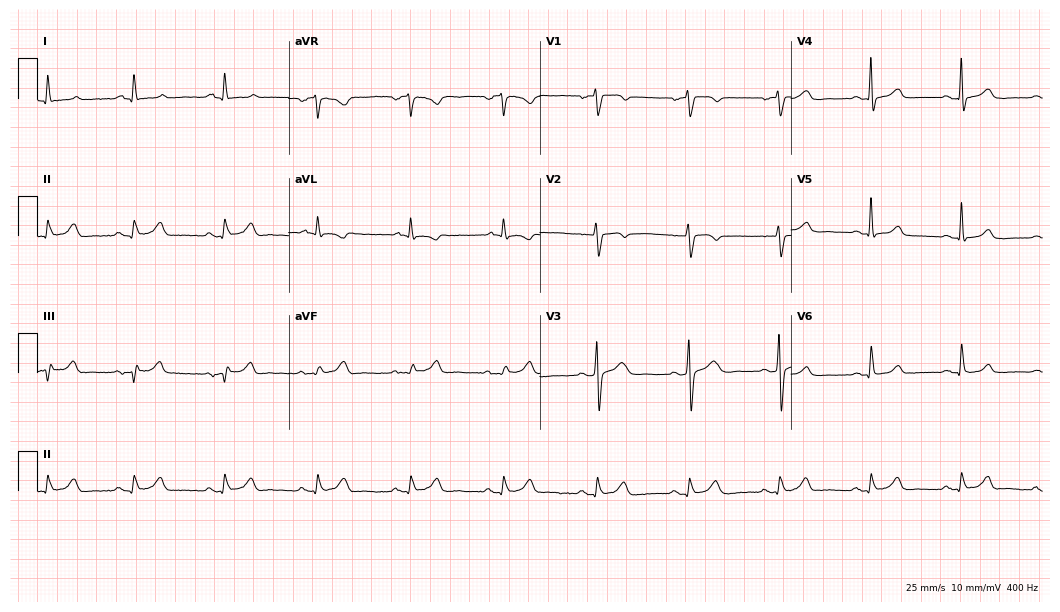
ECG (10.2-second recording at 400 Hz) — a 56-year-old female patient. Screened for six findings — first-degree AV block, right bundle branch block, left bundle branch block, sinus bradycardia, atrial fibrillation, sinus tachycardia — none is recorded.